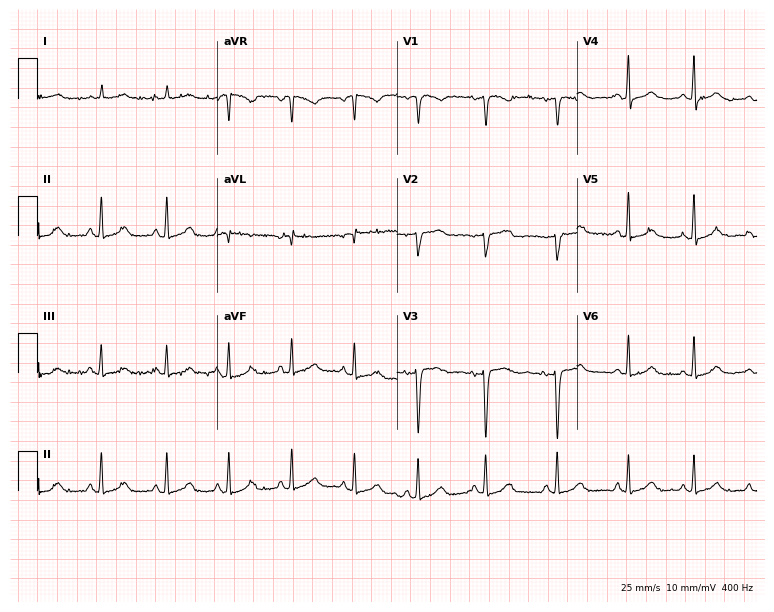
ECG (7.3-second recording at 400 Hz) — a 46-year-old female patient. Screened for six findings — first-degree AV block, right bundle branch block (RBBB), left bundle branch block (LBBB), sinus bradycardia, atrial fibrillation (AF), sinus tachycardia — none is recorded.